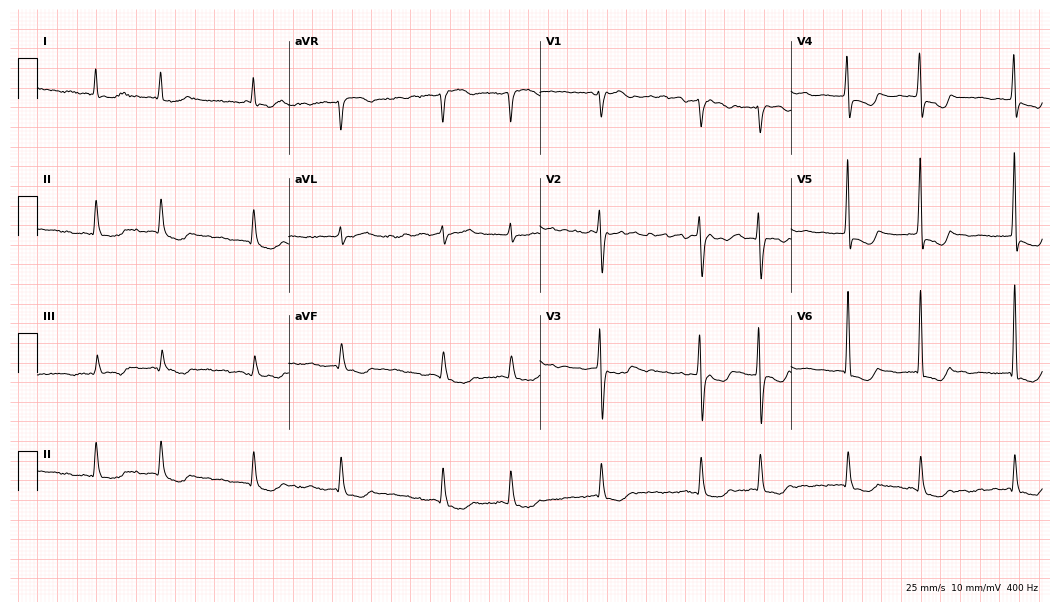
ECG (10.2-second recording at 400 Hz) — a 63-year-old female patient. Findings include atrial fibrillation.